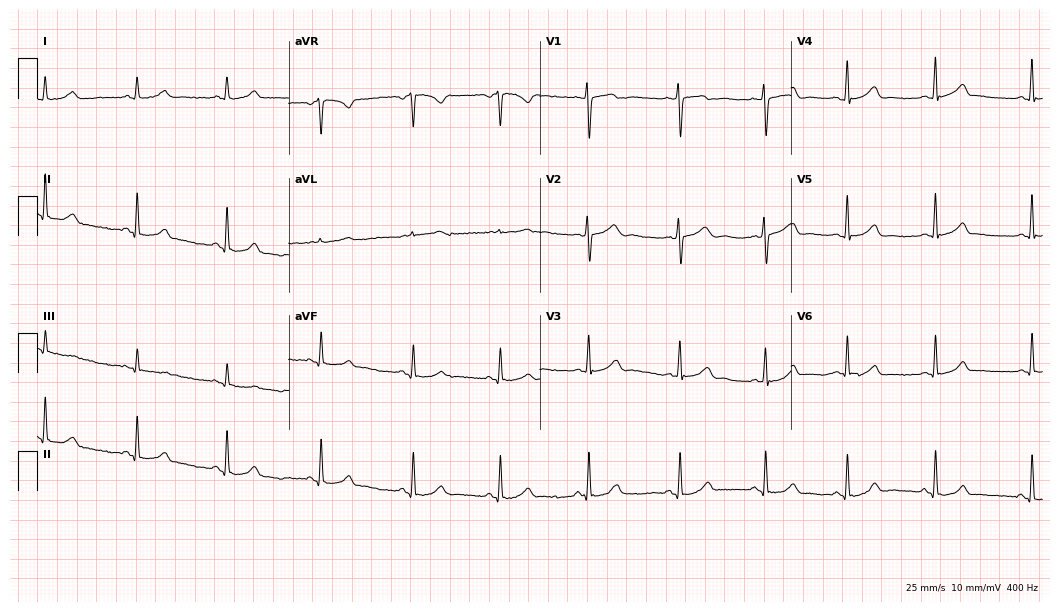
Resting 12-lead electrocardiogram (10.2-second recording at 400 Hz). Patient: a 33-year-old female. Read as a normal ECG.